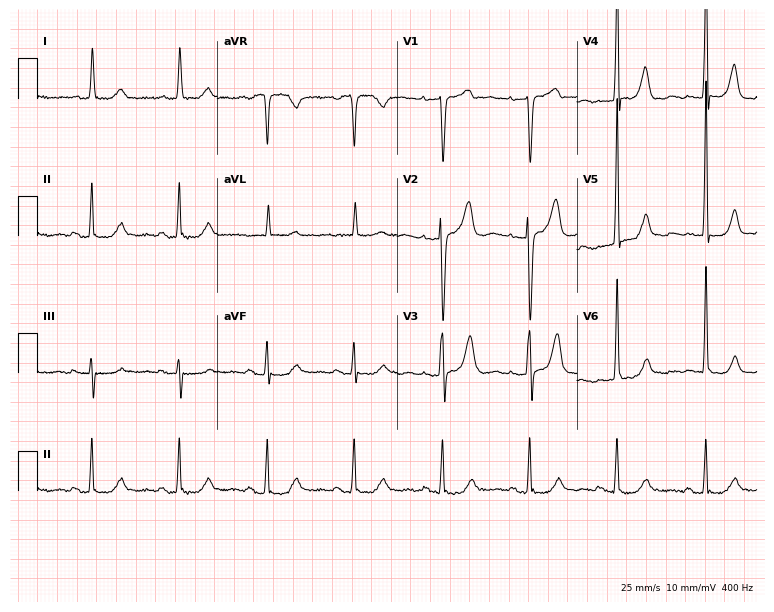
Resting 12-lead electrocardiogram (7.3-second recording at 400 Hz). Patient: an 85-year-old female. None of these six findings is recorded: first-degree AV block, right bundle branch block, left bundle branch block, sinus bradycardia, atrial fibrillation, sinus tachycardia.